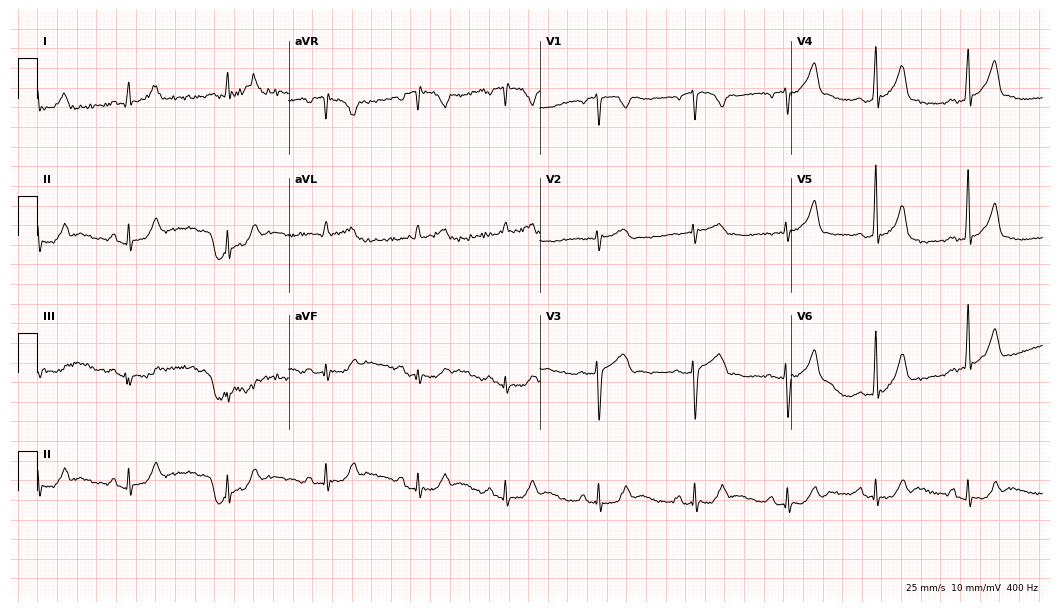
Resting 12-lead electrocardiogram (10.2-second recording at 400 Hz). Patient: a 21-year-old man. Read as a normal ECG.